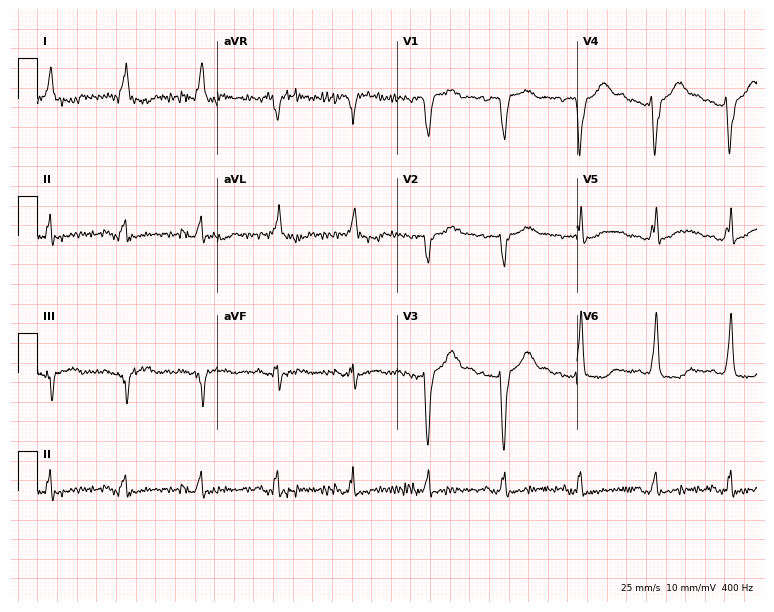
Electrocardiogram, a 62-year-old man. Of the six screened findings (first-degree AV block, right bundle branch block, left bundle branch block, sinus bradycardia, atrial fibrillation, sinus tachycardia), none is recorded.